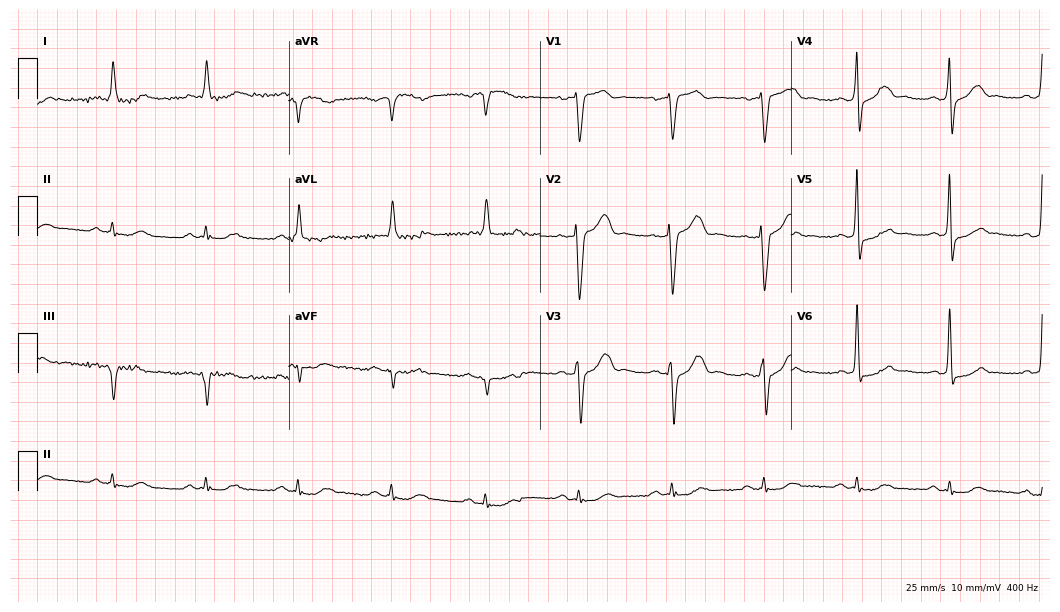
Resting 12-lead electrocardiogram. Patient: a 74-year-old male. None of these six findings is recorded: first-degree AV block, right bundle branch block, left bundle branch block, sinus bradycardia, atrial fibrillation, sinus tachycardia. Only these six findings were labelled.